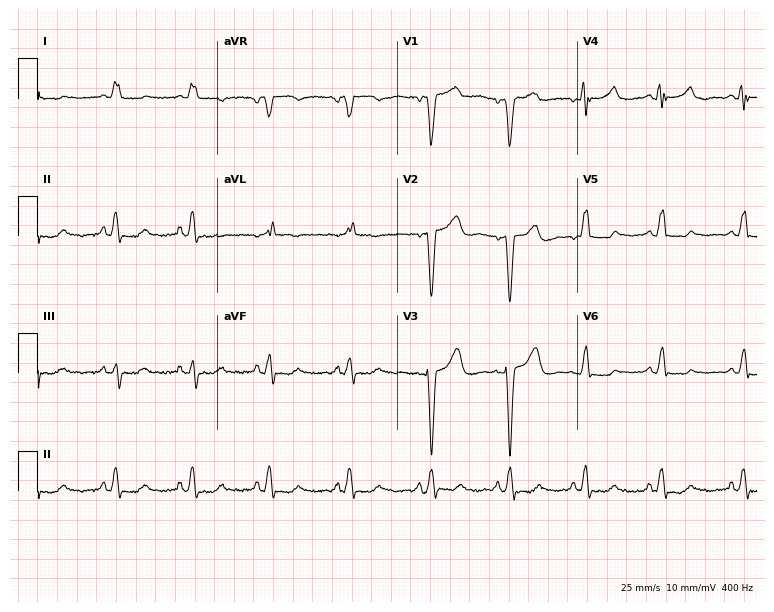
ECG — a female, 69 years old. Screened for six findings — first-degree AV block, right bundle branch block, left bundle branch block, sinus bradycardia, atrial fibrillation, sinus tachycardia — none is recorded.